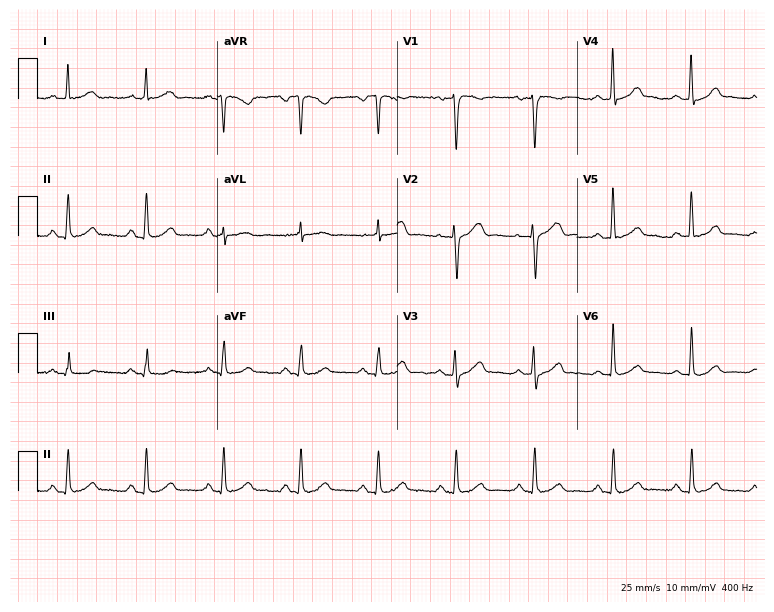
12-lead ECG from a 57-year-old male patient. Screened for six findings — first-degree AV block, right bundle branch block, left bundle branch block, sinus bradycardia, atrial fibrillation, sinus tachycardia — none is recorded. Findings outside these six are not listed.